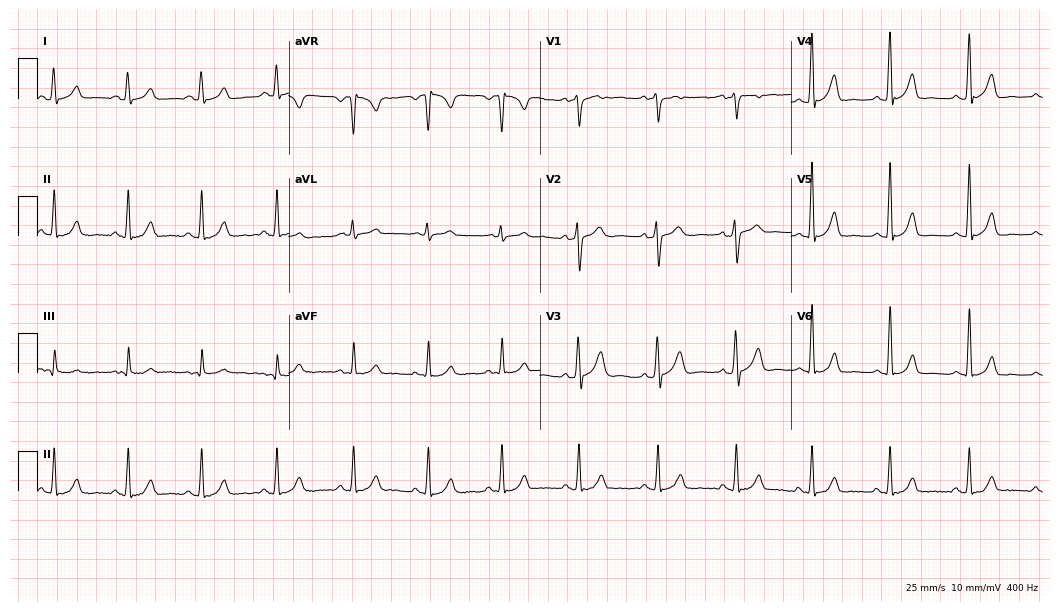
ECG (10.2-second recording at 400 Hz) — a 25-year-old female patient. Labelled as a normal ECG.